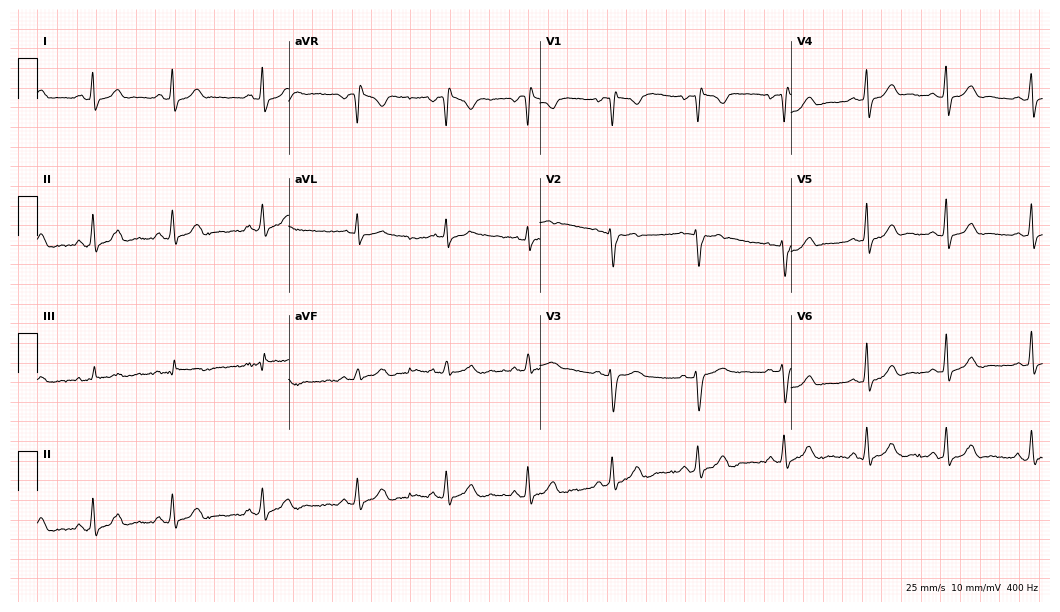
ECG — a female patient, 20 years old. Labelled as a normal ECG.